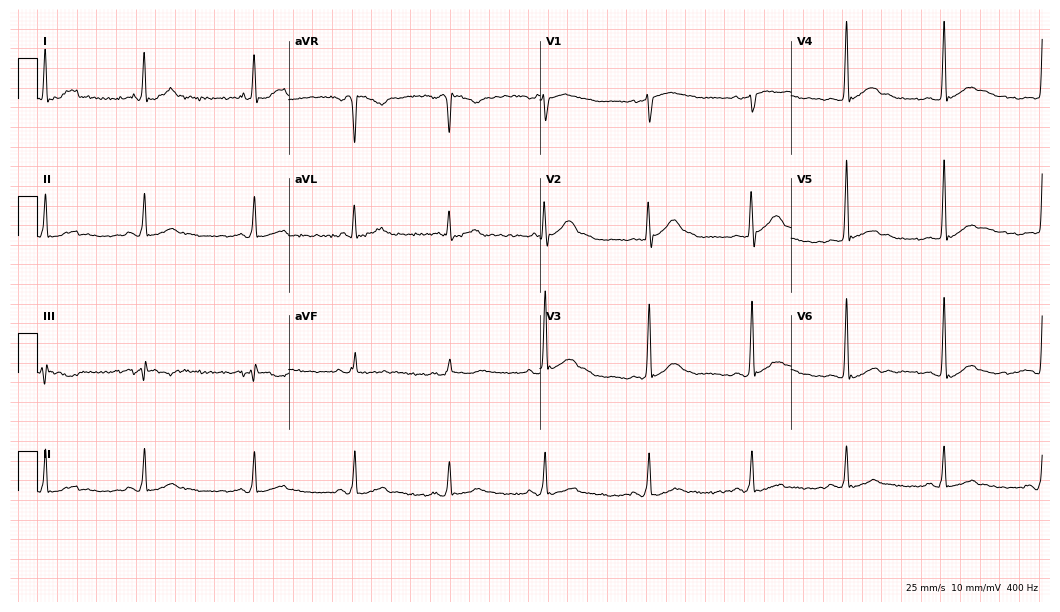
Electrocardiogram, a 27-year-old male patient. Overall reading on record: normal ECG.